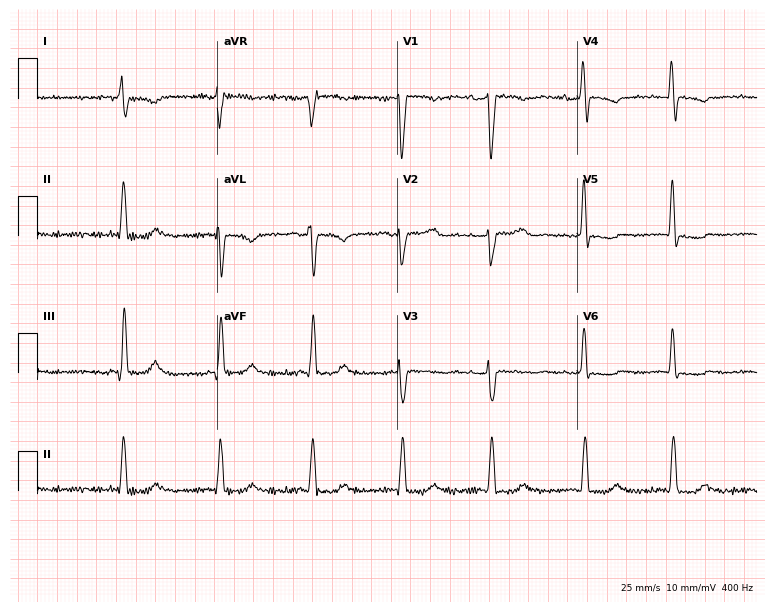
Electrocardiogram (7.3-second recording at 400 Hz), a 71-year-old female. Of the six screened findings (first-degree AV block, right bundle branch block (RBBB), left bundle branch block (LBBB), sinus bradycardia, atrial fibrillation (AF), sinus tachycardia), none is recorded. Other findings, if any, are not listed.